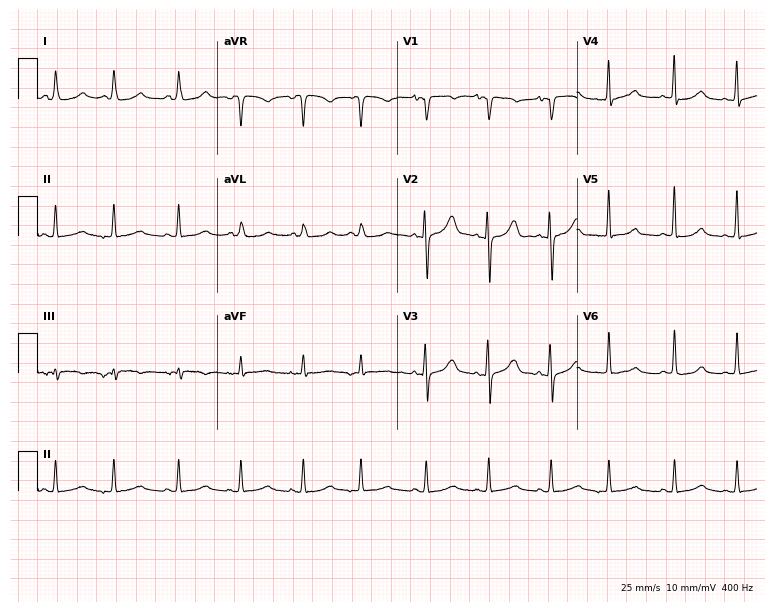
12-lead ECG from an 85-year-old female patient (7.3-second recording at 400 Hz). No first-degree AV block, right bundle branch block, left bundle branch block, sinus bradycardia, atrial fibrillation or sinus tachycardia recorded for this tracing. Other findings, if any, are not listed.